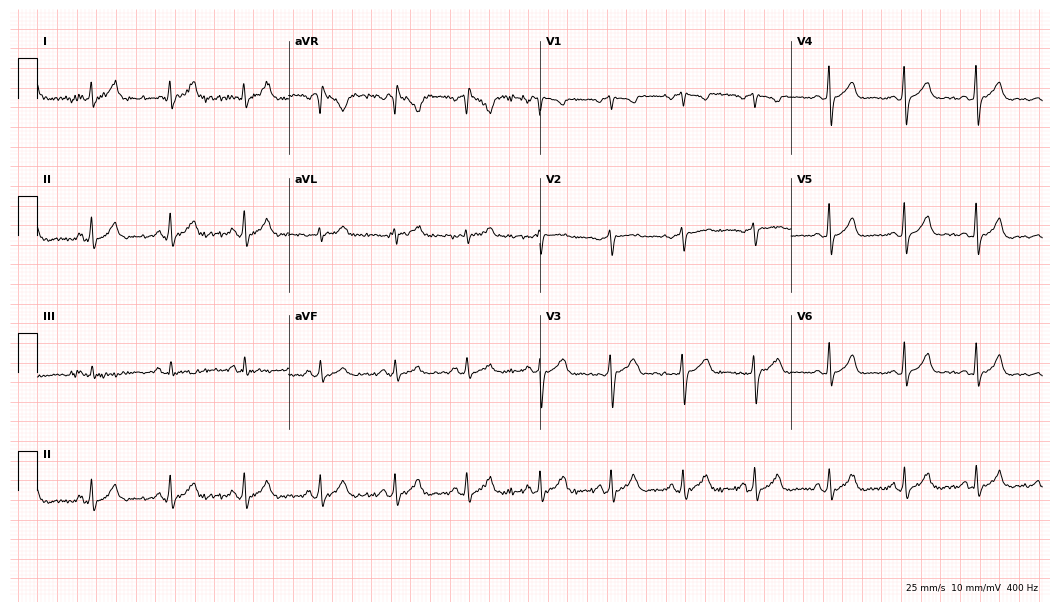
Resting 12-lead electrocardiogram. Patient: a woman, 24 years old. None of these six findings is recorded: first-degree AV block, right bundle branch block, left bundle branch block, sinus bradycardia, atrial fibrillation, sinus tachycardia. Only these six findings were labelled.